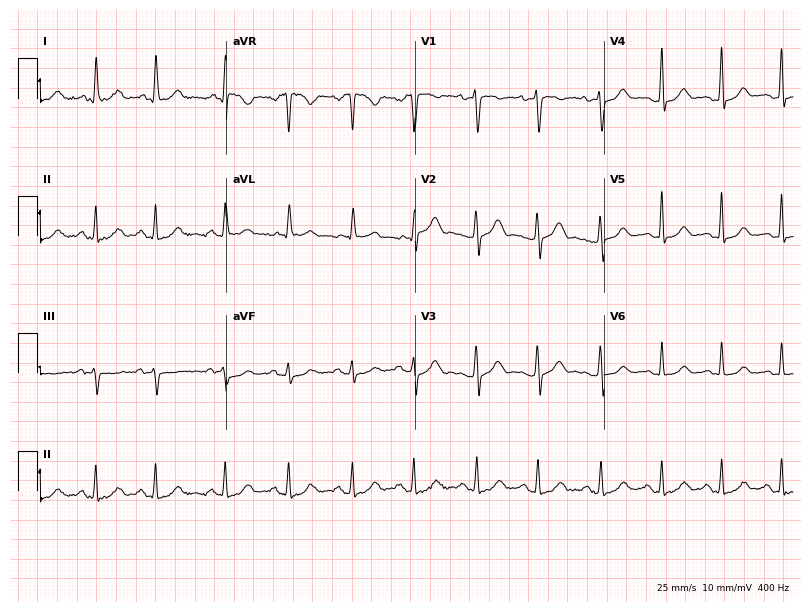
ECG (7.7-second recording at 400 Hz) — a female patient, 37 years old. Screened for six findings — first-degree AV block, right bundle branch block (RBBB), left bundle branch block (LBBB), sinus bradycardia, atrial fibrillation (AF), sinus tachycardia — none is recorded. Findings outside these six are not listed.